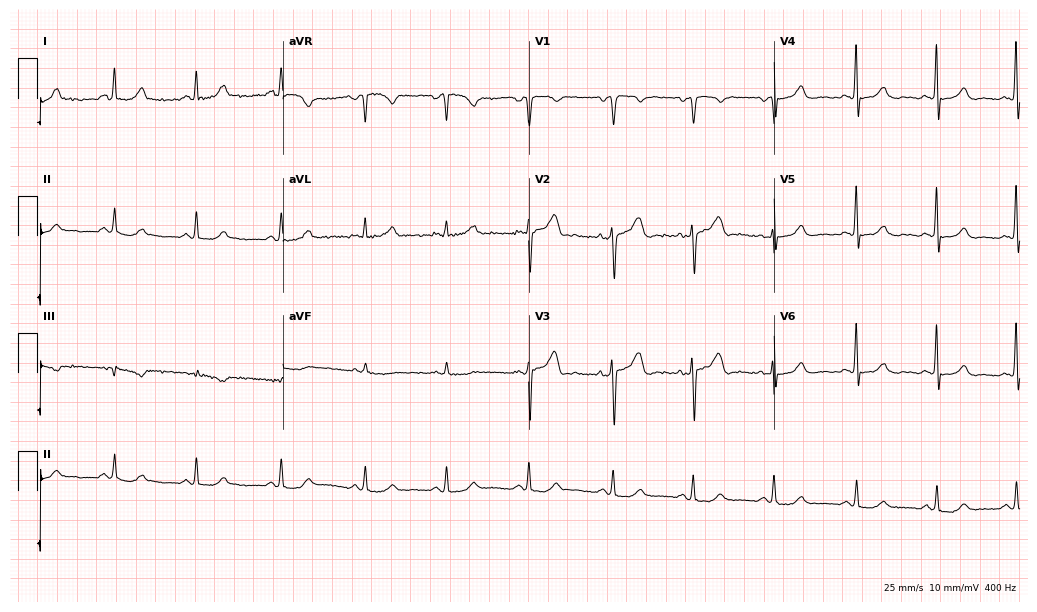
12-lead ECG from a 42-year-old female patient (10-second recording at 400 Hz). Recorded interpretation: within normal limits.